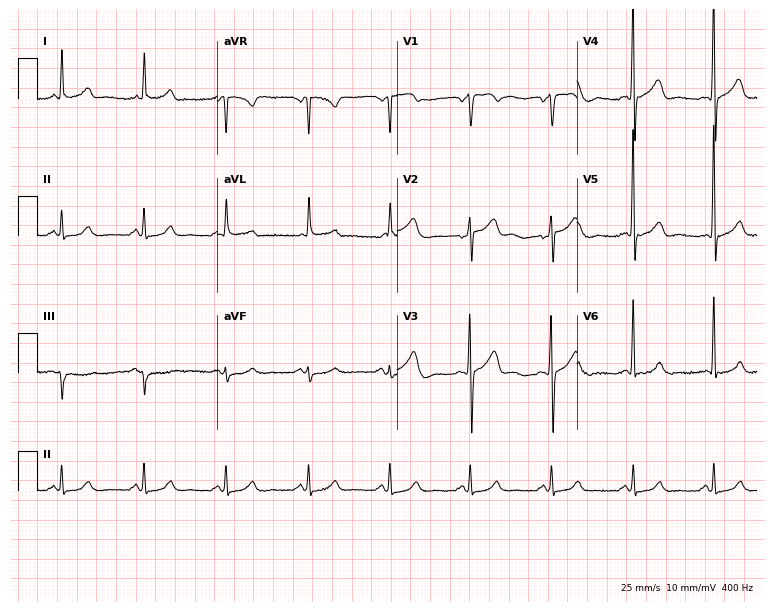
Electrocardiogram, a 74-year-old man. Overall reading on record: normal ECG.